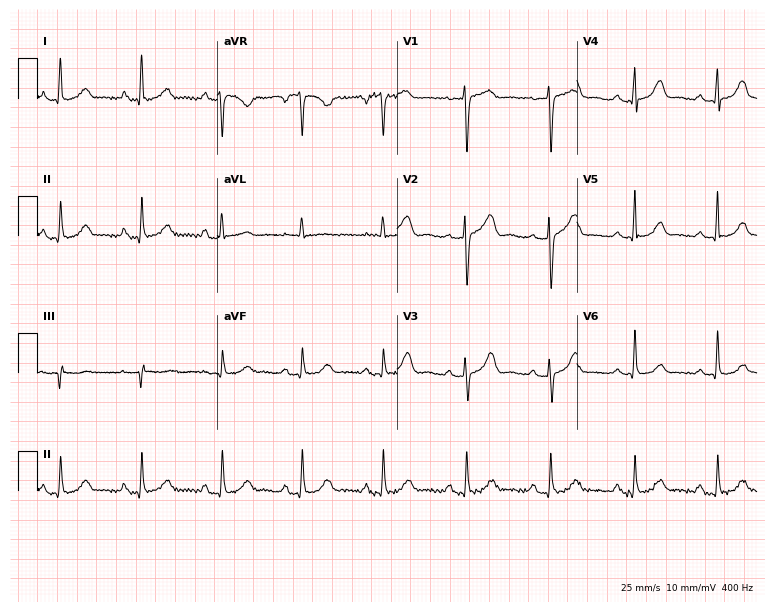
12-lead ECG from a 66-year-old female patient (7.3-second recording at 400 Hz). No first-degree AV block, right bundle branch block, left bundle branch block, sinus bradycardia, atrial fibrillation or sinus tachycardia recorded for this tracing. Only these six findings were labelled.